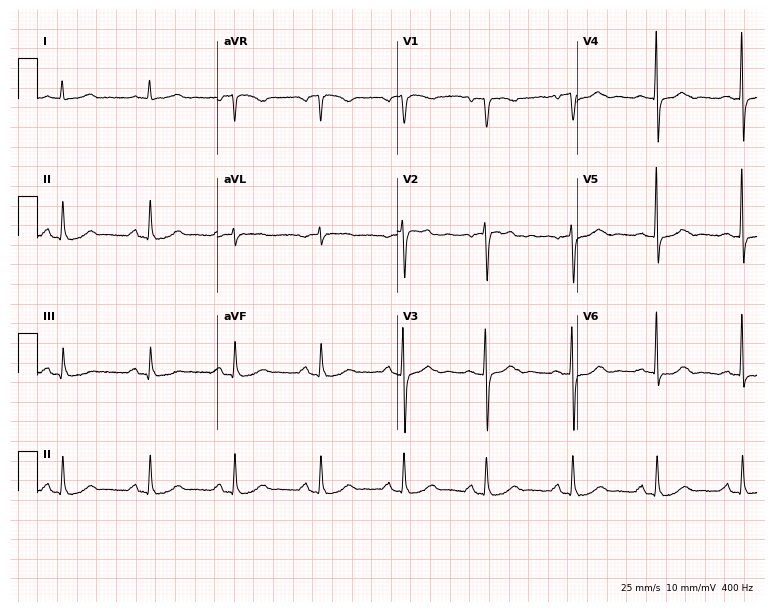
12-lead ECG from a woman, 69 years old. Screened for six findings — first-degree AV block, right bundle branch block, left bundle branch block, sinus bradycardia, atrial fibrillation, sinus tachycardia — none is recorded. Only these six findings were labelled.